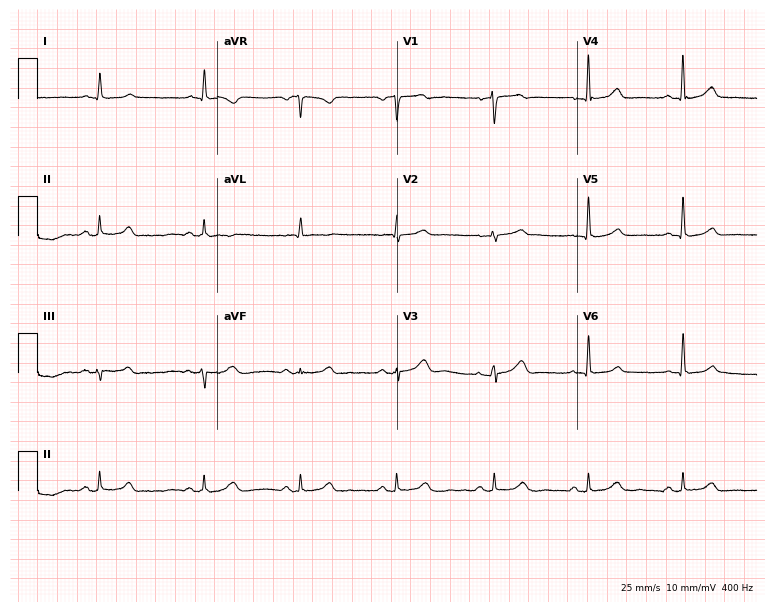
ECG (7.3-second recording at 400 Hz) — a female, 58 years old. Screened for six findings — first-degree AV block, right bundle branch block (RBBB), left bundle branch block (LBBB), sinus bradycardia, atrial fibrillation (AF), sinus tachycardia — none is recorded.